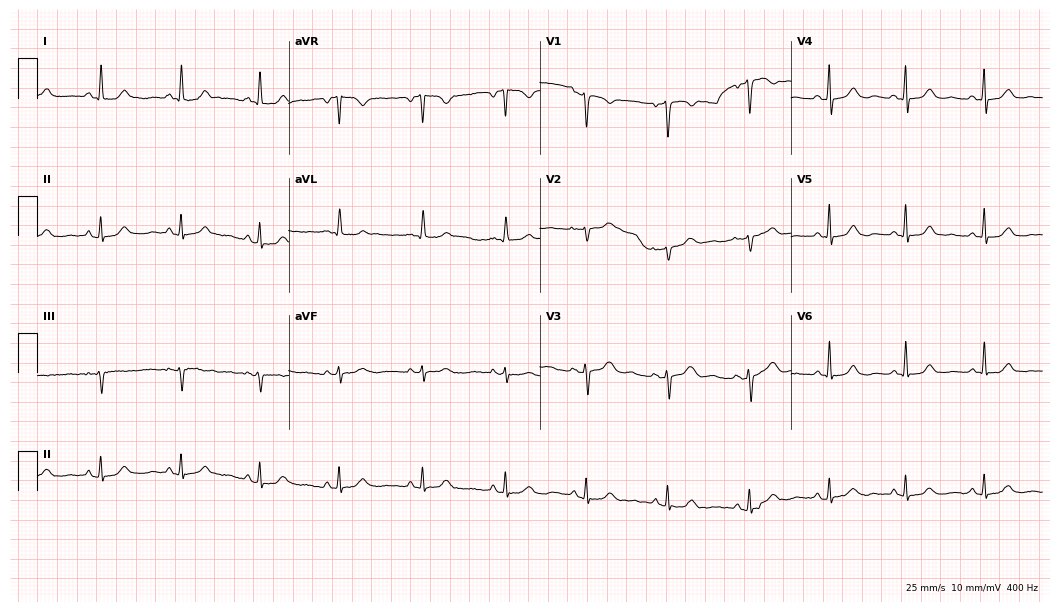
12-lead ECG from a 56-year-old female patient. Screened for six findings — first-degree AV block, right bundle branch block (RBBB), left bundle branch block (LBBB), sinus bradycardia, atrial fibrillation (AF), sinus tachycardia — none is recorded. Other findings, if any, are not listed.